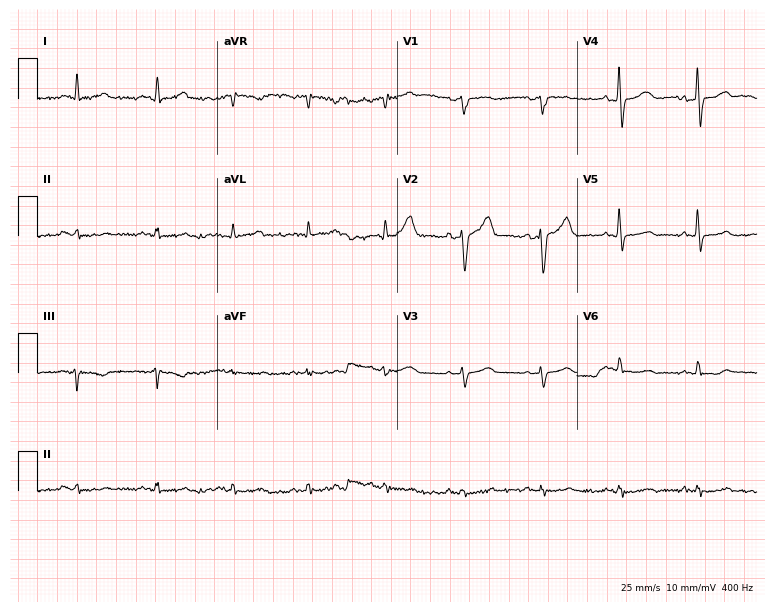
Electrocardiogram, a man, 66 years old. Of the six screened findings (first-degree AV block, right bundle branch block (RBBB), left bundle branch block (LBBB), sinus bradycardia, atrial fibrillation (AF), sinus tachycardia), none is recorded.